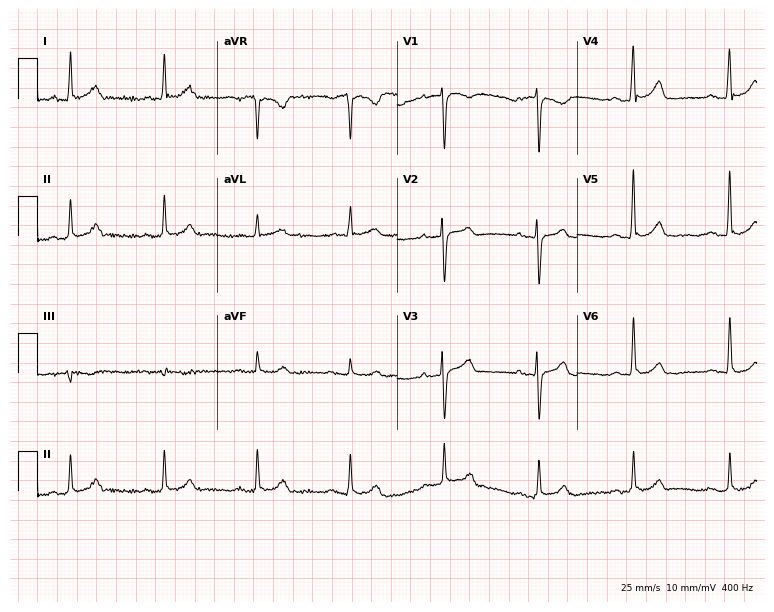
Resting 12-lead electrocardiogram. Patient: a 68-year-old female. Read as a normal ECG.